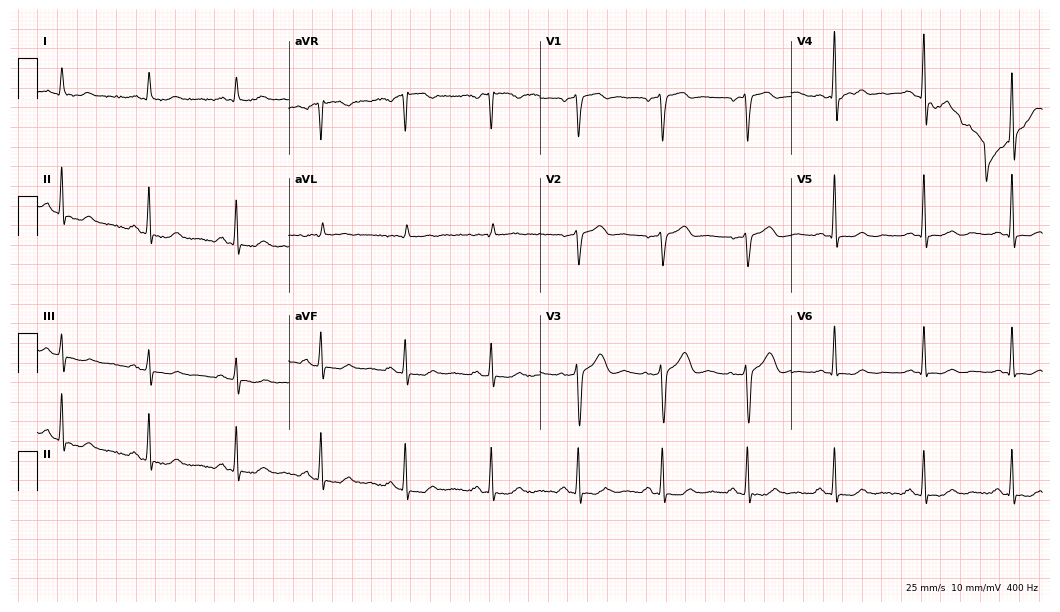
Electrocardiogram (10.2-second recording at 400 Hz), a man, 63 years old. Of the six screened findings (first-degree AV block, right bundle branch block (RBBB), left bundle branch block (LBBB), sinus bradycardia, atrial fibrillation (AF), sinus tachycardia), none is recorded. Only these six findings were labelled.